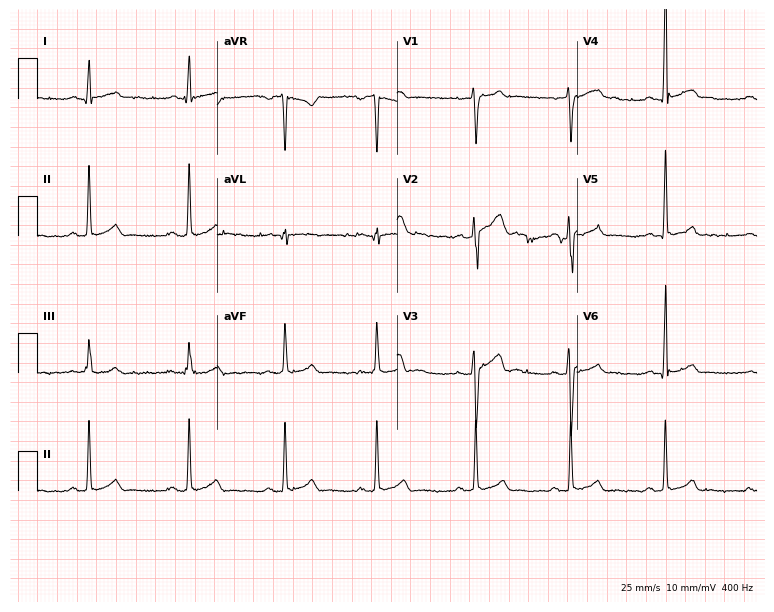
Resting 12-lead electrocardiogram. Patient: a 22-year-old man. Read as a normal ECG.